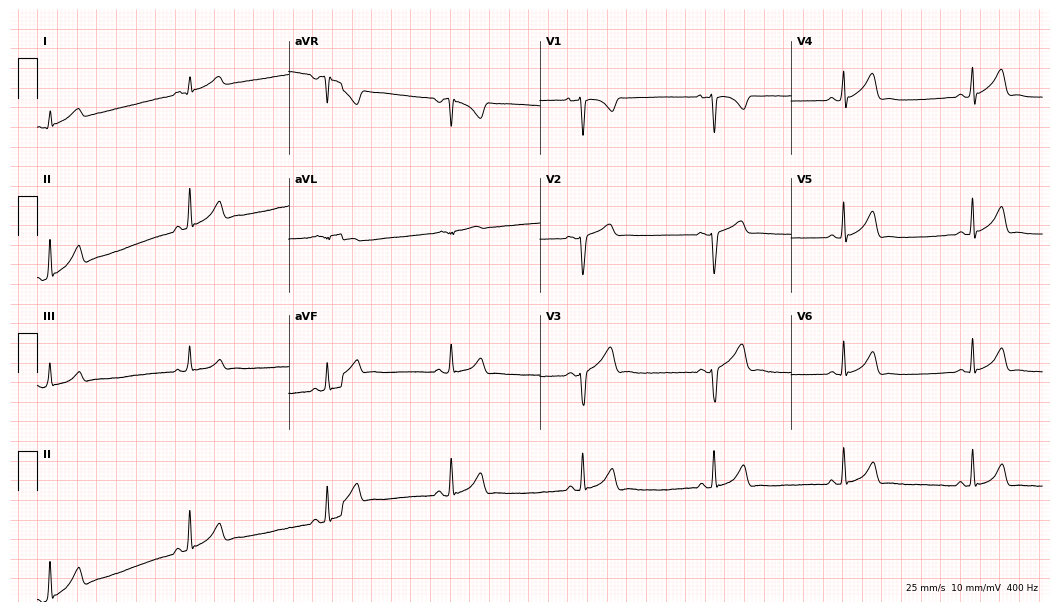
ECG (10.2-second recording at 400 Hz) — a 34-year-old female. Screened for six findings — first-degree AV block, right bundle branch block (RBBB), left bundle branch block (LBBB), sinus bradycardia, atrial fibrillation (AF), sinus tachycardia — none is recorded. Other findings, if any, are not listed.